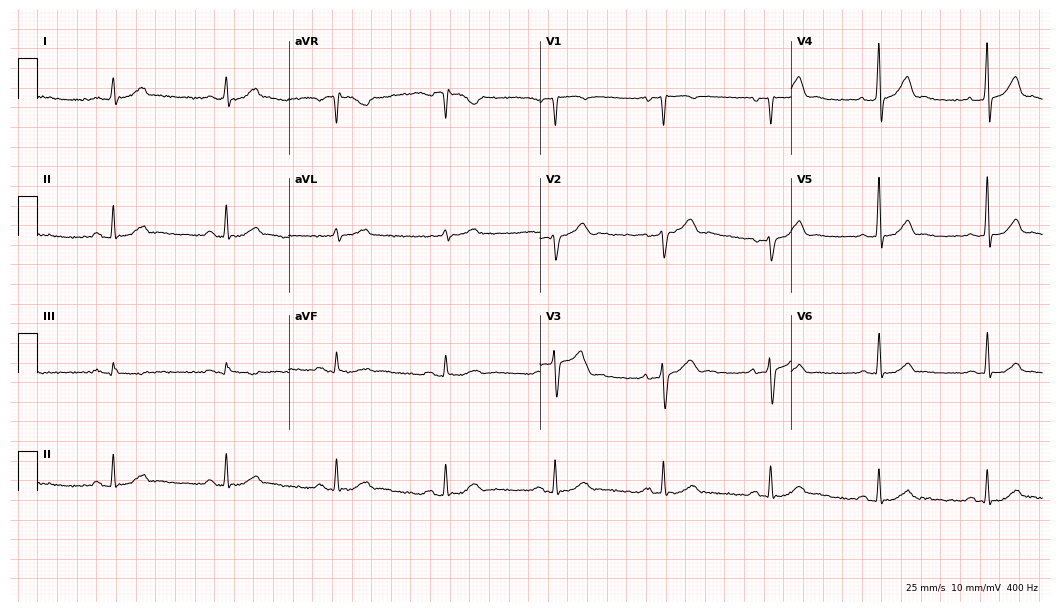
12-lead ECG from a male, 75 years old. Labelled as a normal ECG.